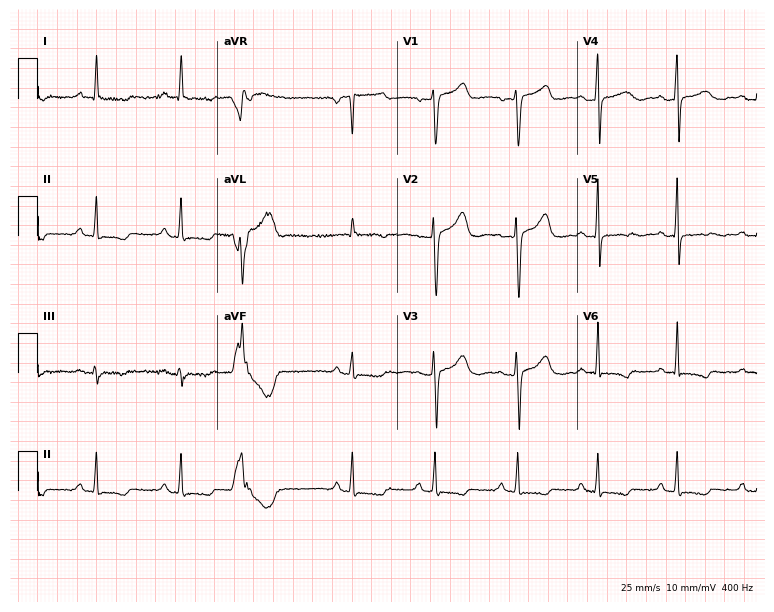
12-lead ECG (7.3-second recording at 400 Hz) from a 49-year-old woman. Screened for six findings — first-degree AV block, right bundle branch block, left bundle branch block, sinus bradycardia, atrial fibrillation, sinus tachycardia — none is recorded. Findings outside these six are not listed.